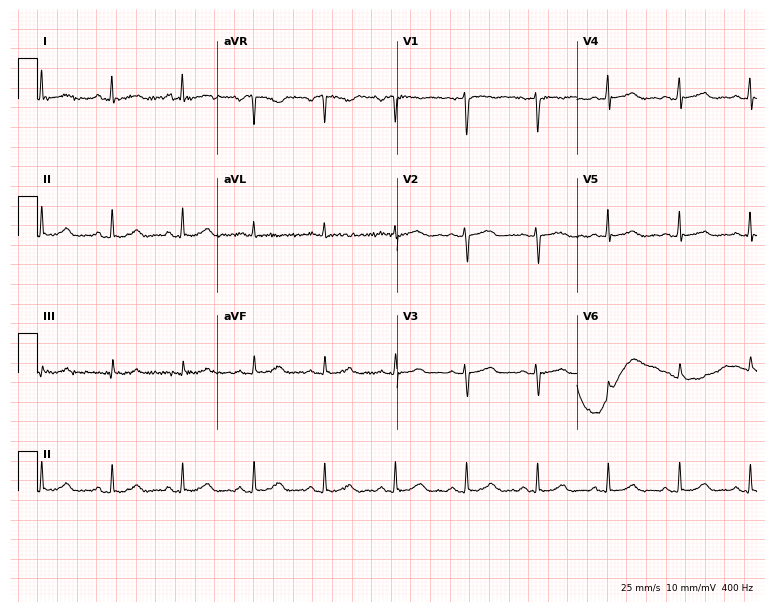
12-lead ECG (7.3-second recording at 400 Hz) from a 62-year-old woman. Labelled as a normal ECG.